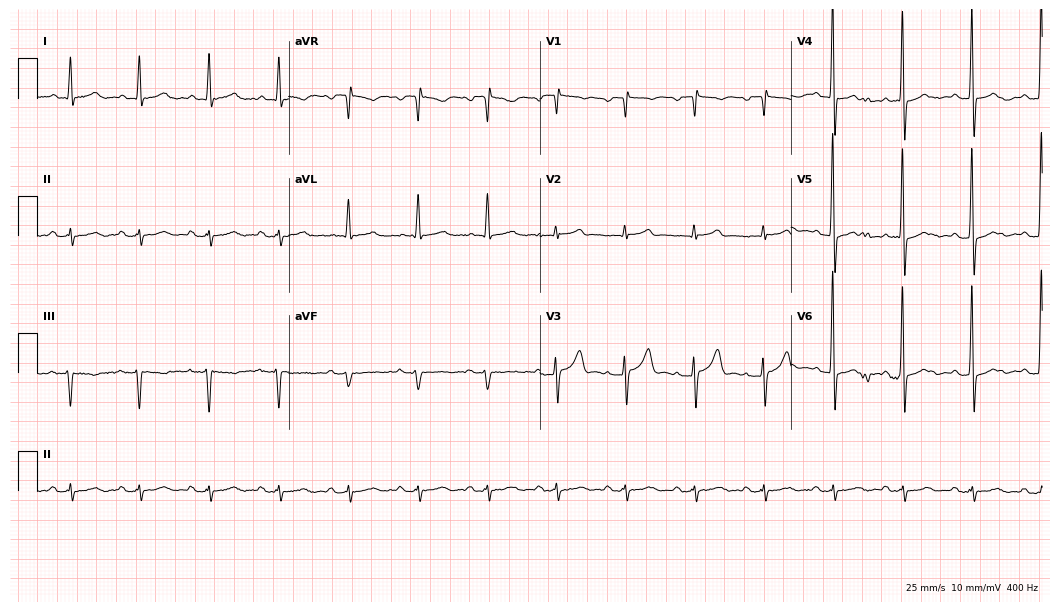
ECG — a 62-year-old man. Screened for six findings — first-degree AV block, right bundle branch block, left bundle branch block, sinus bradycardia, atrial fibrillation, sinus tachycardia — none is recorded. Only these six findings were labelled.